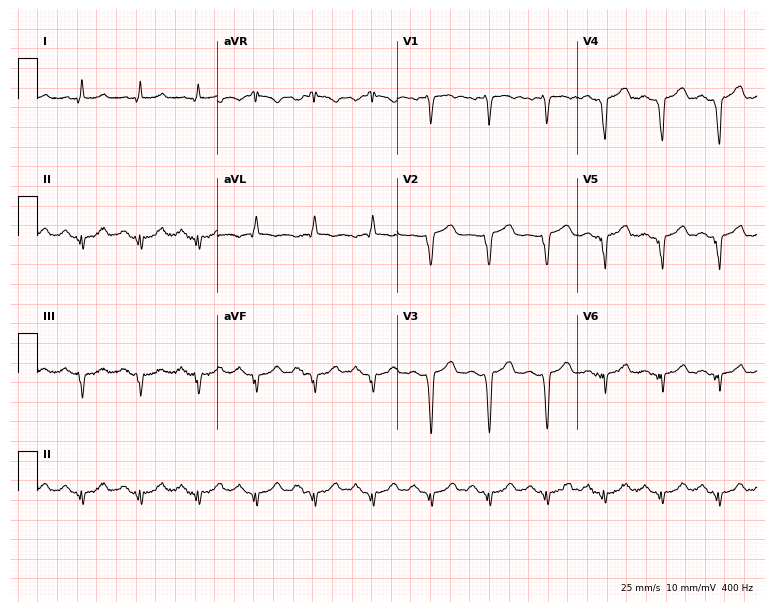
Standard 12-lead ECG recorded from a male, 61 years old. The tracing shows sinus tachycardia (a sinus rate of 100 beats per minute or more).